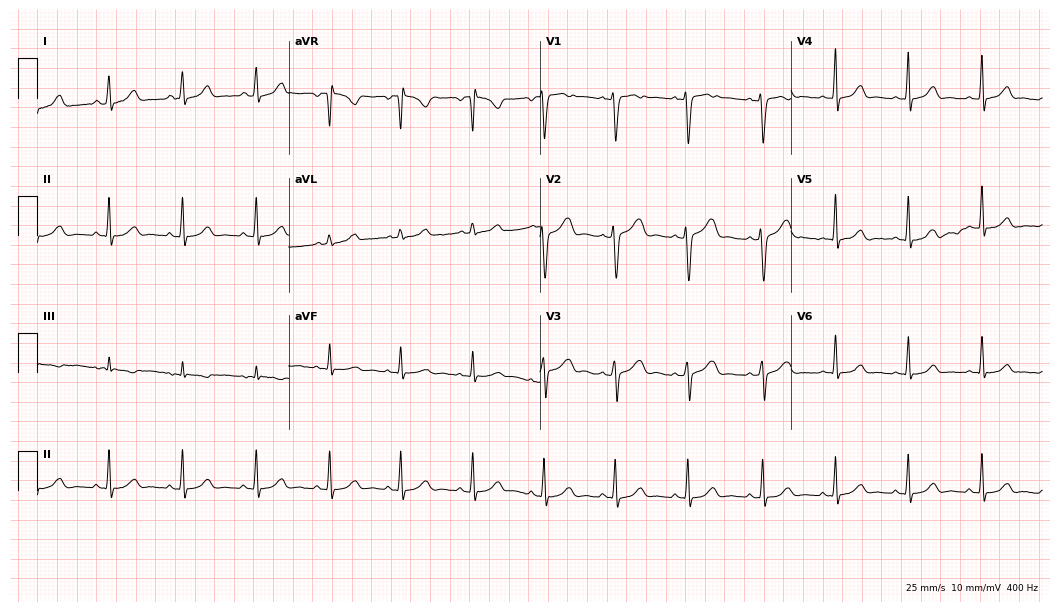
Electrocardiogram (10.2-second recording at 400 Hz), a woman, 29 years old. Overall reading on record: normal ECG.